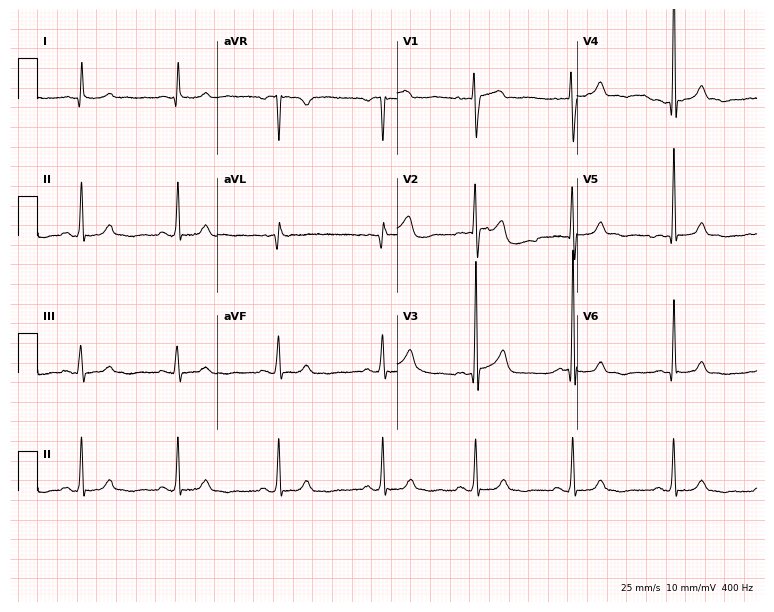
12-lead ECG from a 43-year-old woman. Screened for six findings — first-degree AV block, right bundle branch block (RBBB), left bundle branch block (LBBB), sinus bradycardia, atrial fibrillation (AF), sinus tachycardia — none is recorded. Other findings, if any, are not listed.